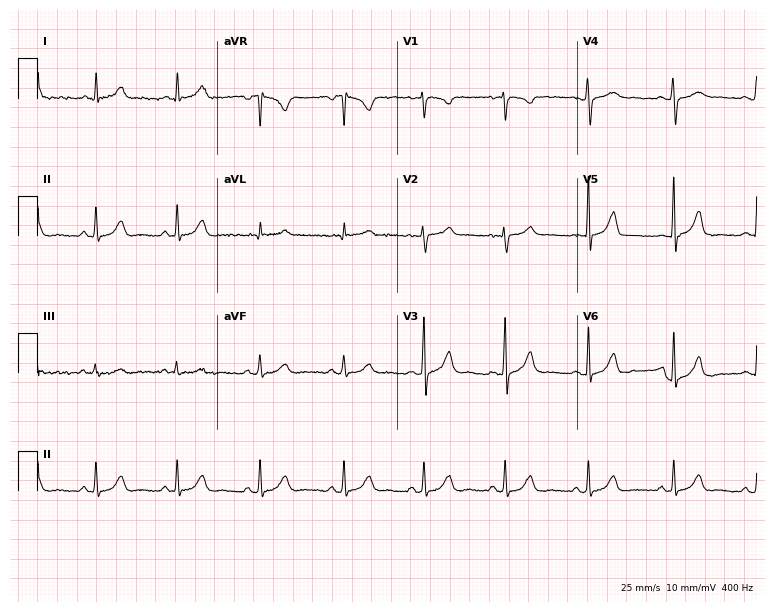
ECG — a female, 48 years old. Labelled as a normal ECG.